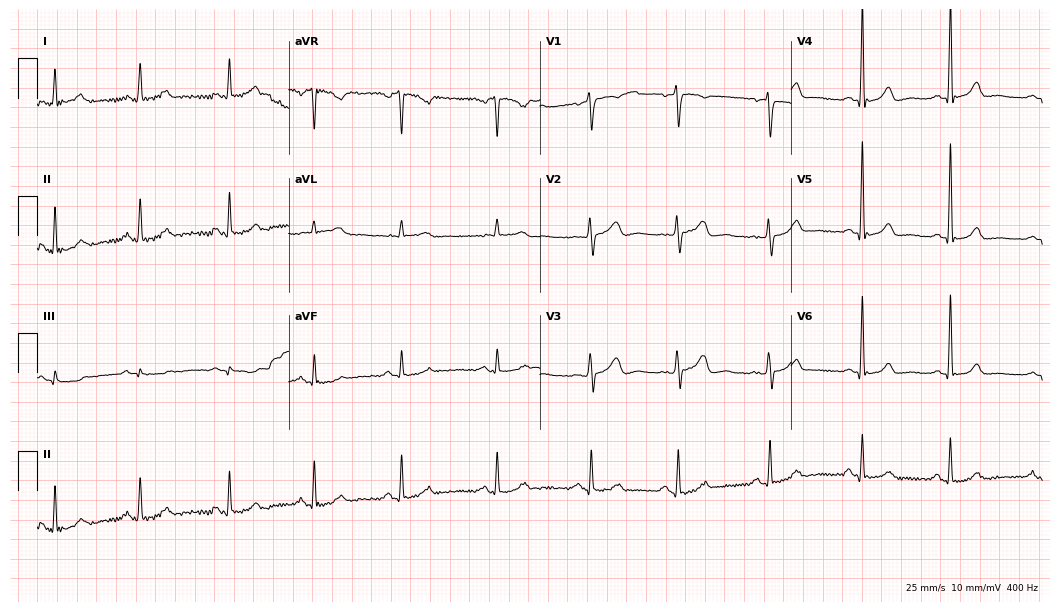
Standard 12-lead ECG recorded from a 57-year-old woman. None of these six findings is recorded: first-degree AV block, right bundle branch block (RBBB), left bundle branch block (LBBB), sinus bradycardia, atrial fibrillation (AF), sinus tachycardia.